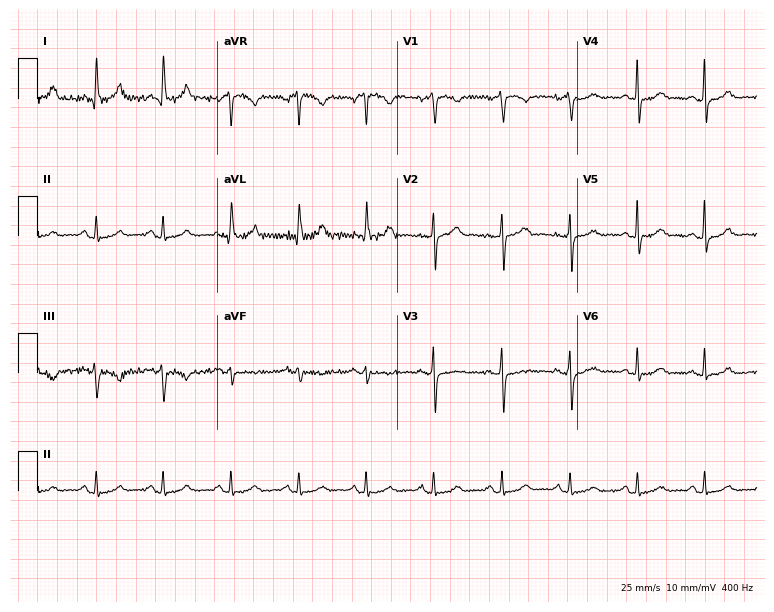
Standard 12-lead ECG recorded from a 50-year-old woman. Read as a normal ECG.